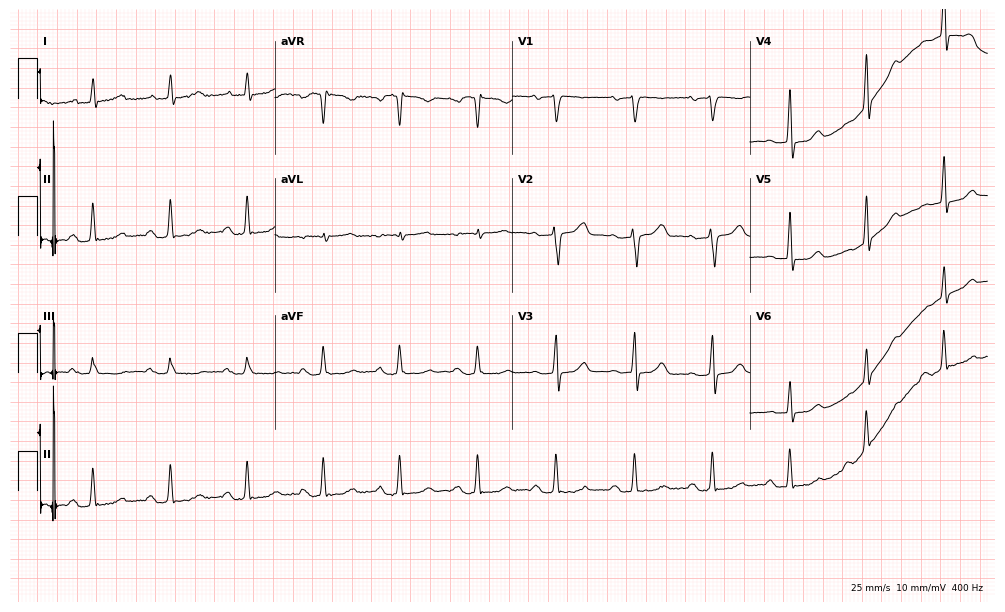
12-lead ECG from a 48-year-old female patient (9.7-second recording at 400 Hz). Shows first-degree AV block.